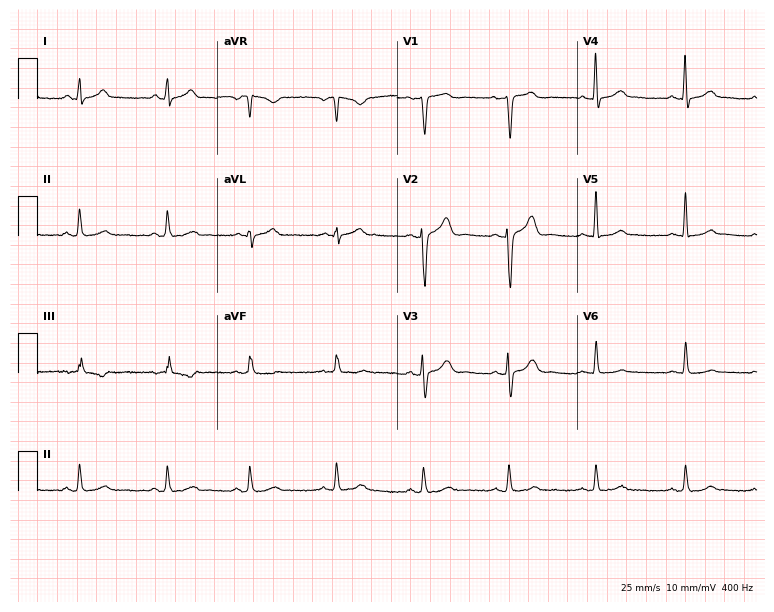
ECG (7.3-second recording at 400 Hz) — a male, 35 years old. Labelled as a normal ECG.